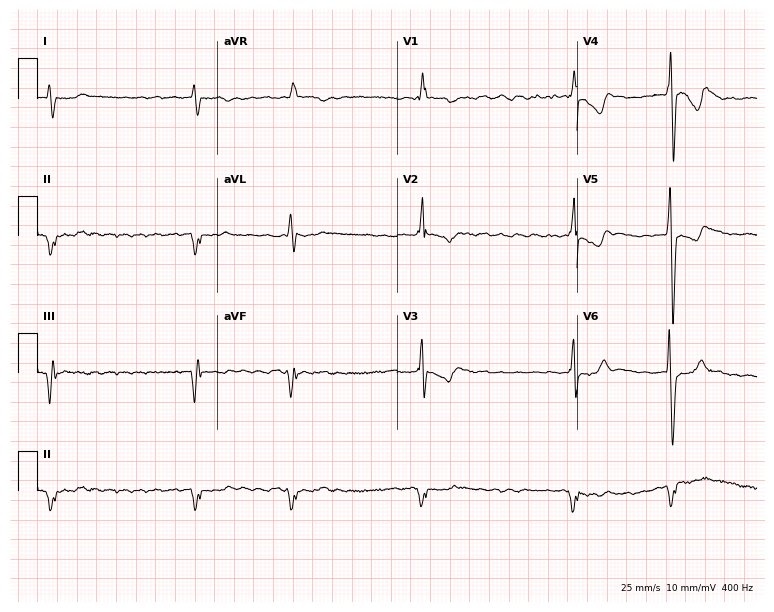
12-lead ECG (7.3-second recording at 400 Hz) from a 60-year-old man. Findings include right bundle branch block (RBBB), atrial fibrillation (AF).